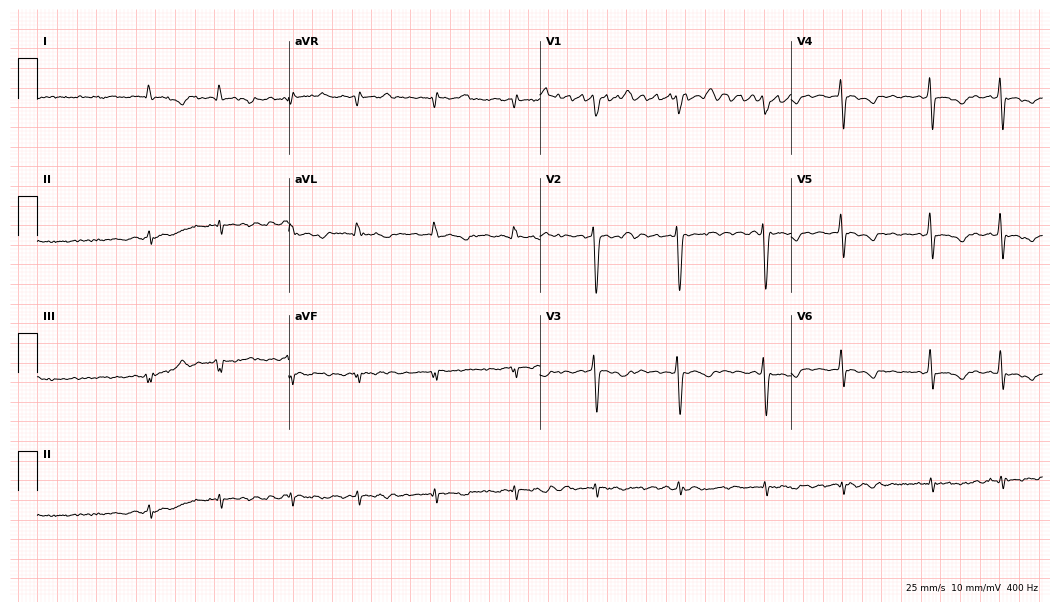
12-lead ECG from a male patient, 36 years old. Findings include atrial fibrillation.